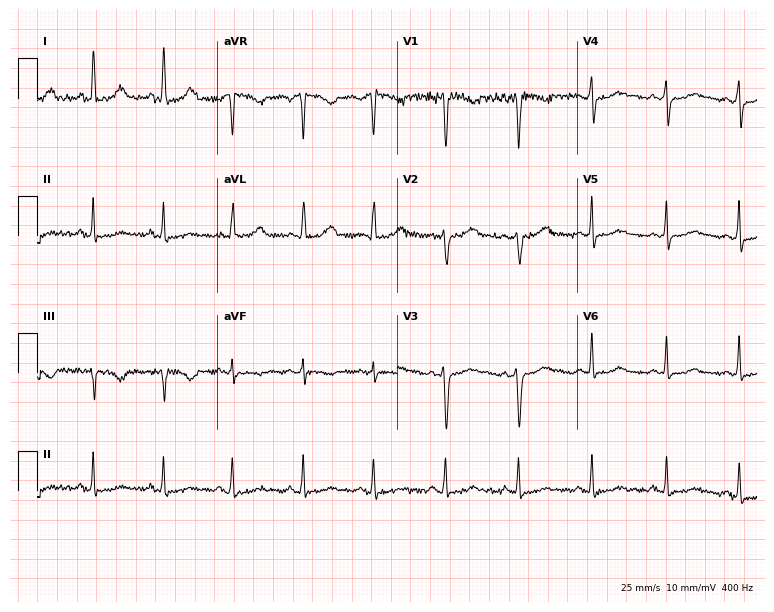
ECG — a 28-year-old woman. Labelled as a normal ECG.